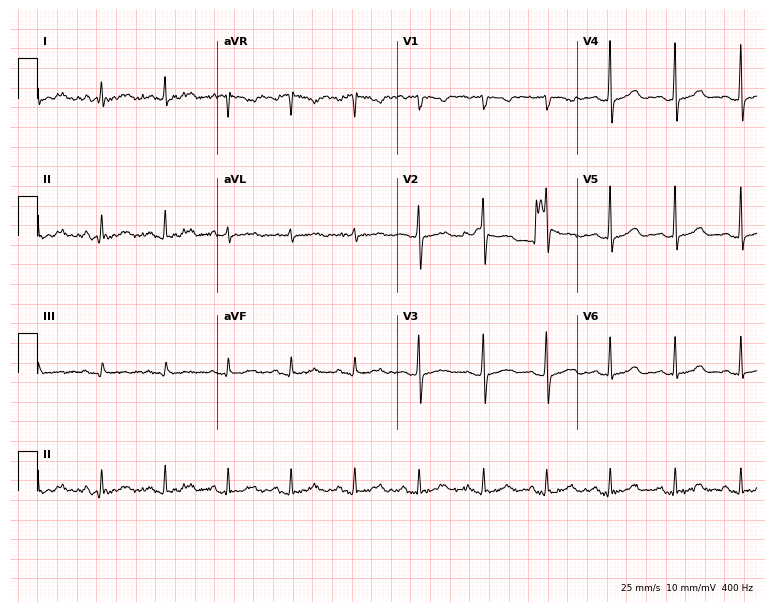
12-lead ECG (7.3-second recording at 400 Hz) from a female patient, 38 years old. Screened for six findings — first-degree AV block, right bundle branch block, left bundle branch block, sinus bradycardia, atrial fibrillation, sinus tachycardia — none is recorded. Other findings, if any, are not listed.